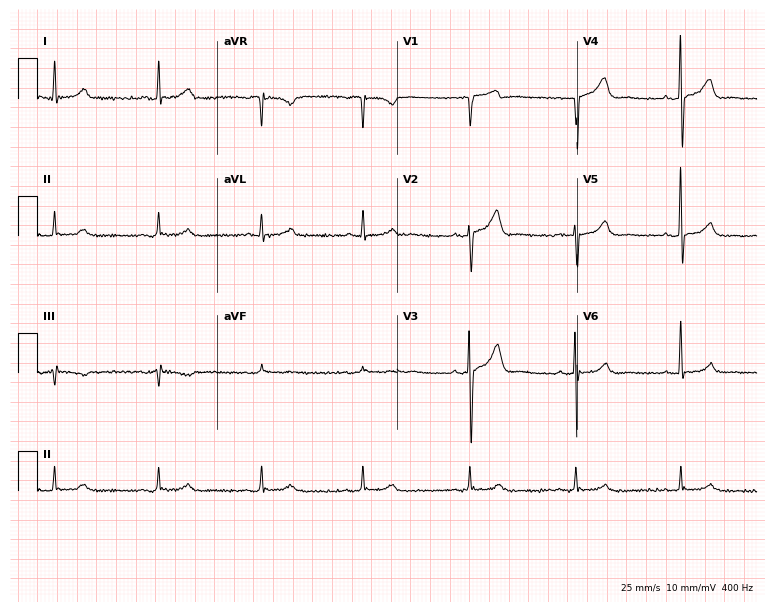
12-lead ECG from a male patient, 65 years old. No first-degree AV block, right bundle branch block, left bundle branch block, sinus bradycardia, atrial fibrillation or sinus tachycardia recorded for this tracing.